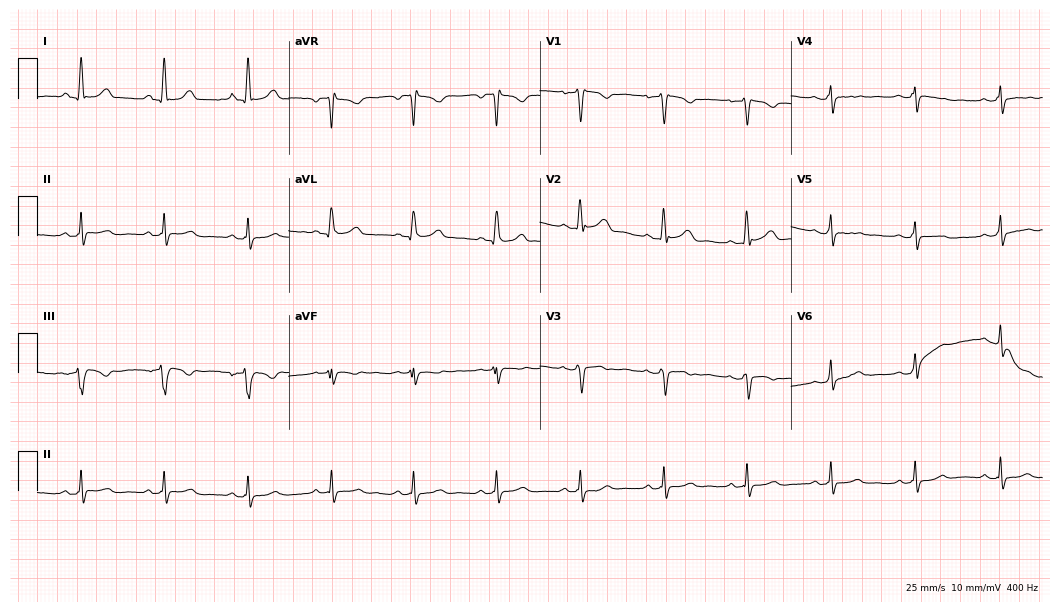
12-lead ECG from a 56-year-old woman. Screened for six findings — first-degree AV block, right bundle branch block (RBBB), left bundle branch block (LBBB), sinus bradycardia, atrial fibrillation (AF), sinus tachycardia — none is recorded. Only these six findings were labelled.